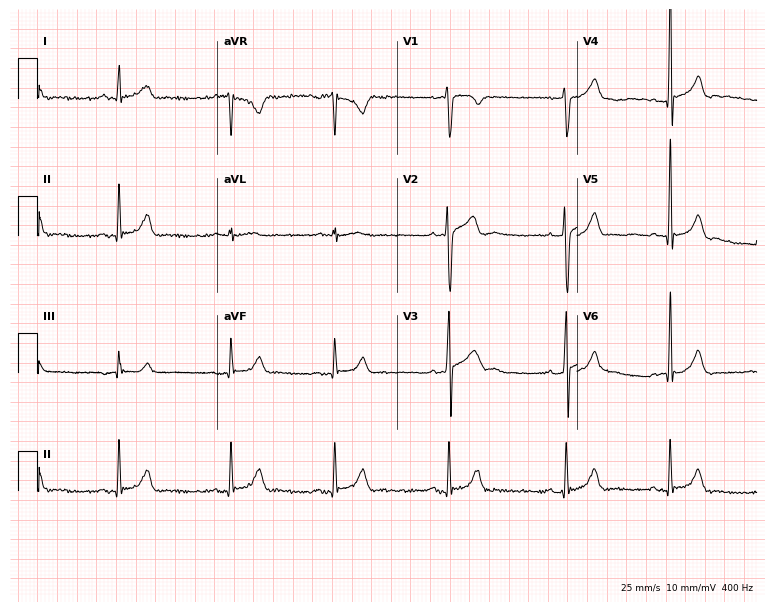
Resting 12-lead electrocardiogram. Patient: a 24-year-old man. None of these six findings is recorded: first-degree AV block, right bundle branch block, left bundle branch block, sinus bradycardia, atrial fibrillation, sinus tachycardia.